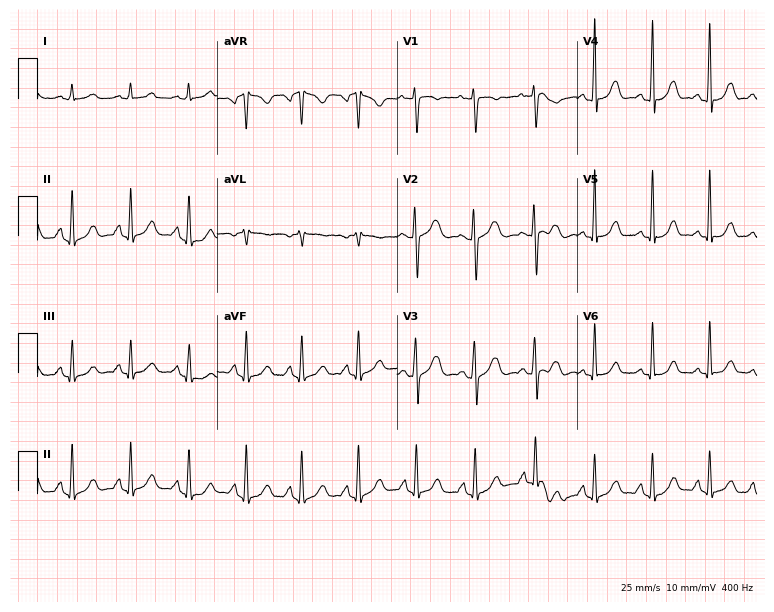
Resting 12-lead electrocardiogram (7.3-second recording at 400 Hz). Patient: a female, 34 years old. Read as a normal ECG.